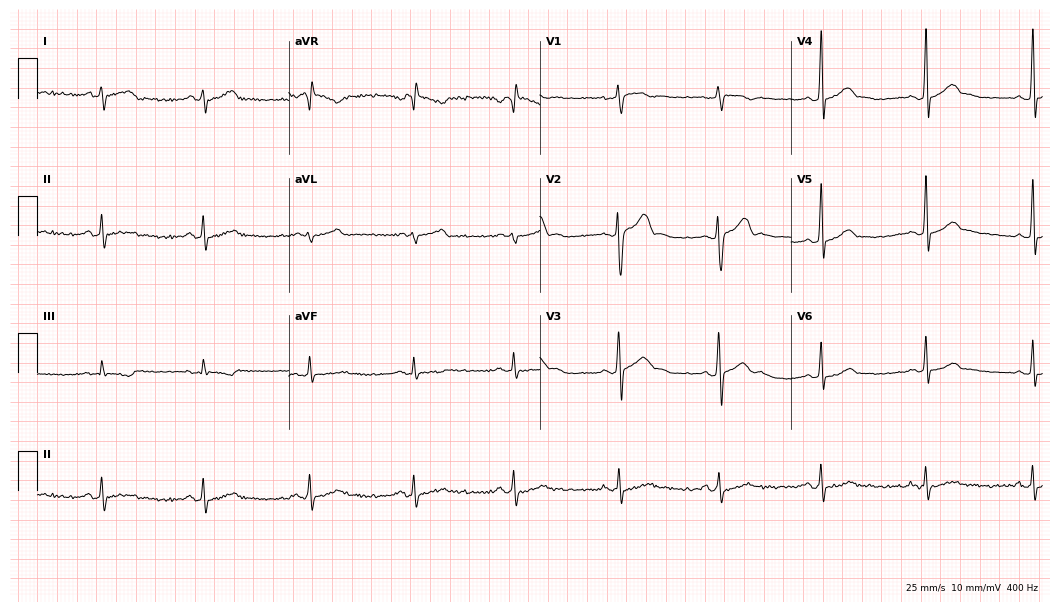
12-lead ECG from a 31-year-old male (10.2-second recording at 400 Hz). No first-degree AV block, right bundle branch block, left bundle branch block, sinus bradycardia, atrial fibrillation or sinus tachycardia recorded for this tracing. Other findings, if any, are not listed.